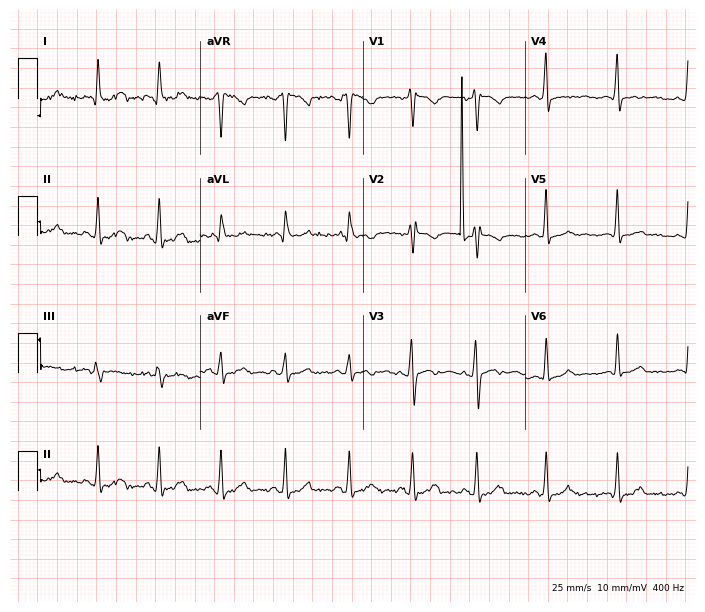
Resting 12-lead electrocardiogram (6.6-second recording at 400 Hz). Patient: a 27-year-old woman. None of these six findings is recorded: first-degree AV block, right bundle branch block (RBBB), left bundle branch block (LBBB), sinus bradycardia, atrial fibrillation (AF), sinus tachycardia. Other findings, if any, are not listed.